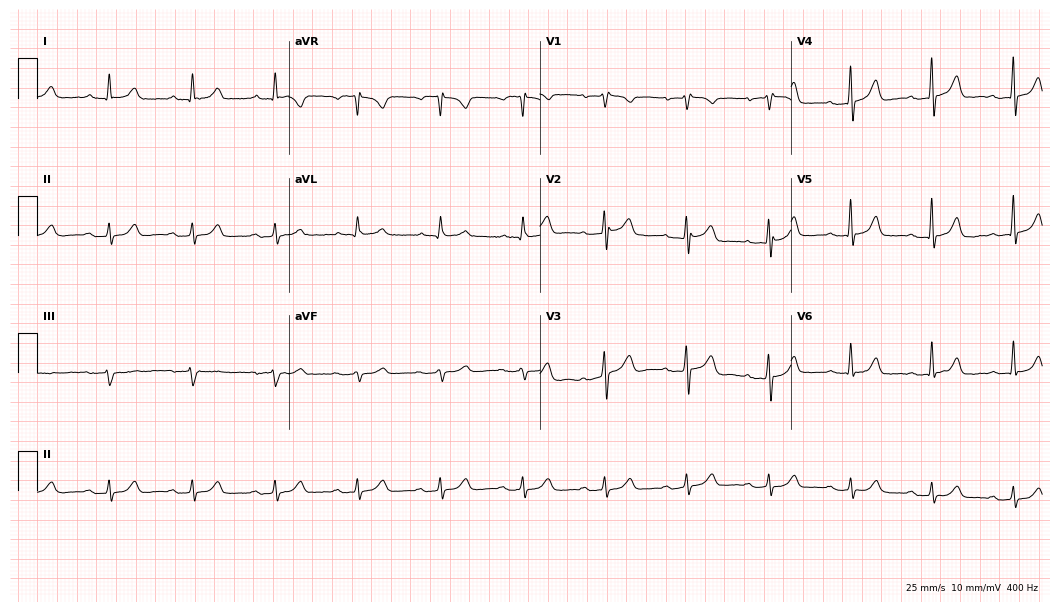
Resting 12-lead electrocardiogram. Patient: a male, 61 years old. The tracing shows first-degree AV block.